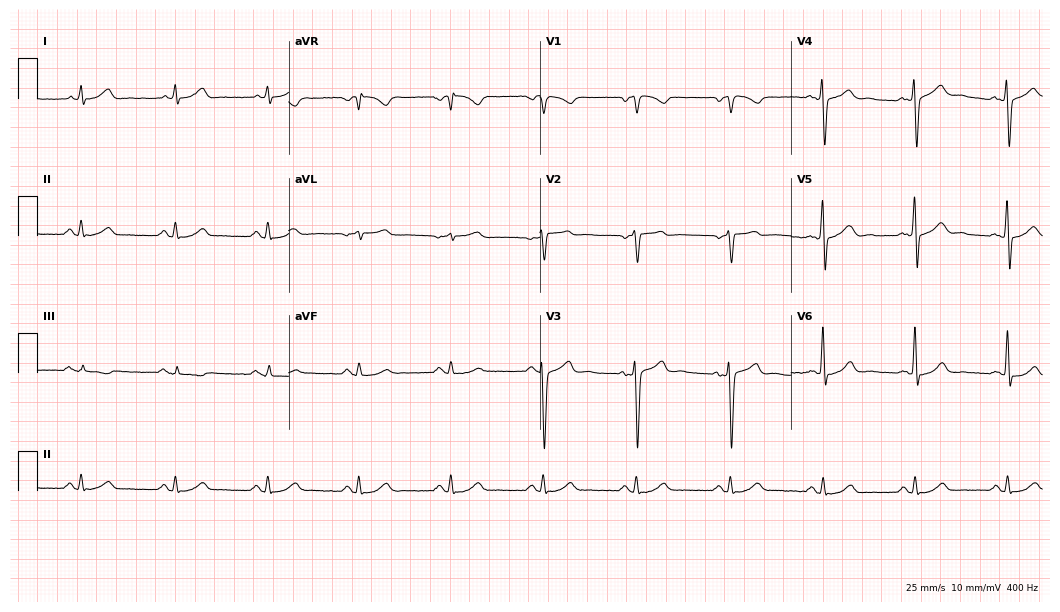
12-lead ECG (10.2-second recording at 400 Hz) from a 47-year-old man. Labelled as a normal ECG.